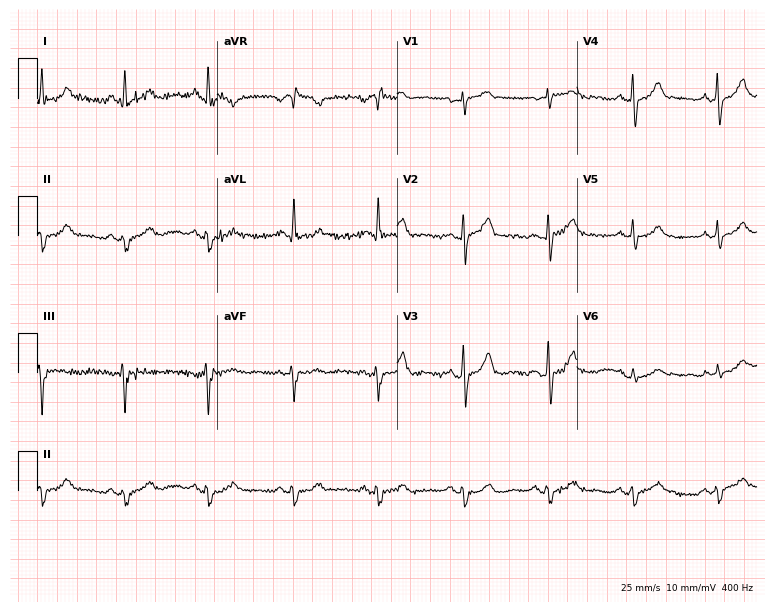
Standard 12-lead ECG recorded from a 63-year-old male patient. None of these six findings is recorded: first-degree AV block, right bundle branch block, left bundle branch block, sinus bradycardia, atrial fibrillation, sinus tachycardia.